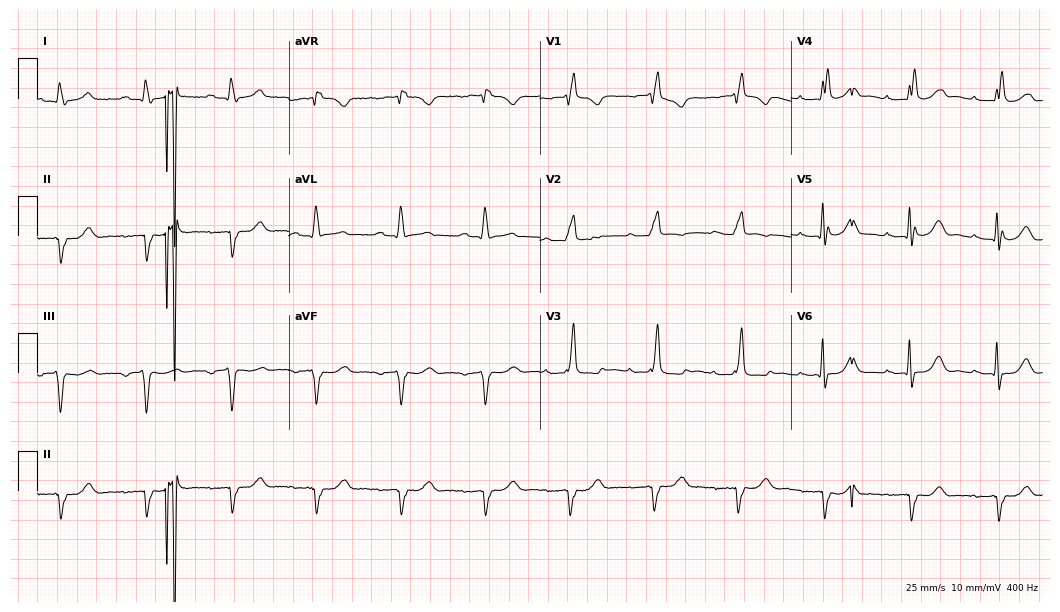
Standard 12-lead ECG recorded from an 85-year-old male. The tracing shows first-degree AV block, right bundle branch block (RBBB).